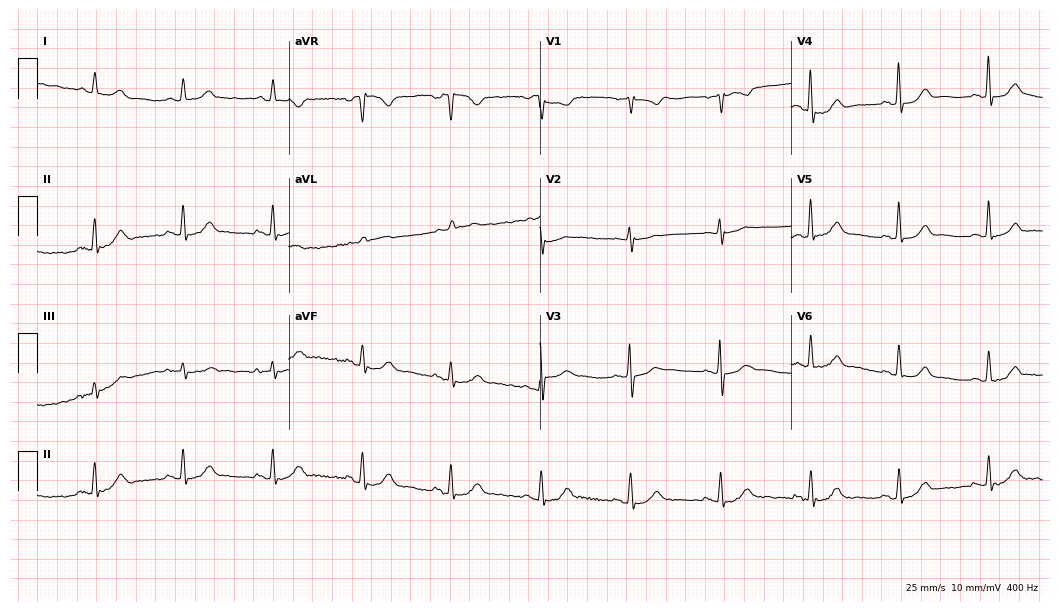
Electrocardiogram, a female, 69 years old. Overall reading on record: normal ECG.